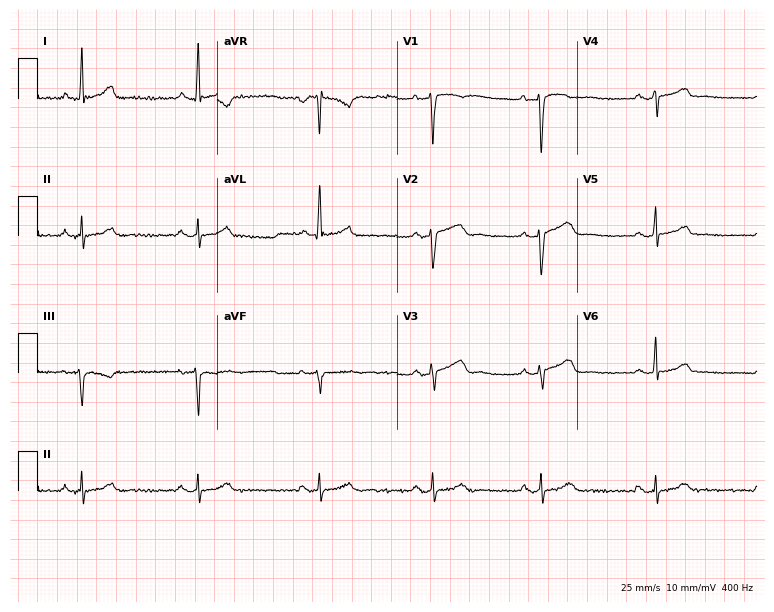
12-lead ECG (7.3-second recording at 400 Hz) from a 47-year-old woman. Labelled as a normal ECG.